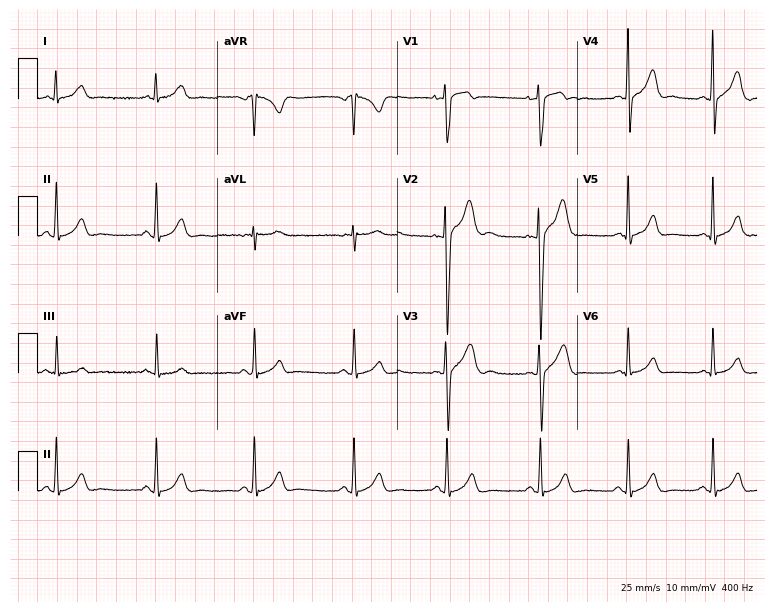
Electrocardiogram, a man, 22 years old. Overall reading on record: normal ECG.